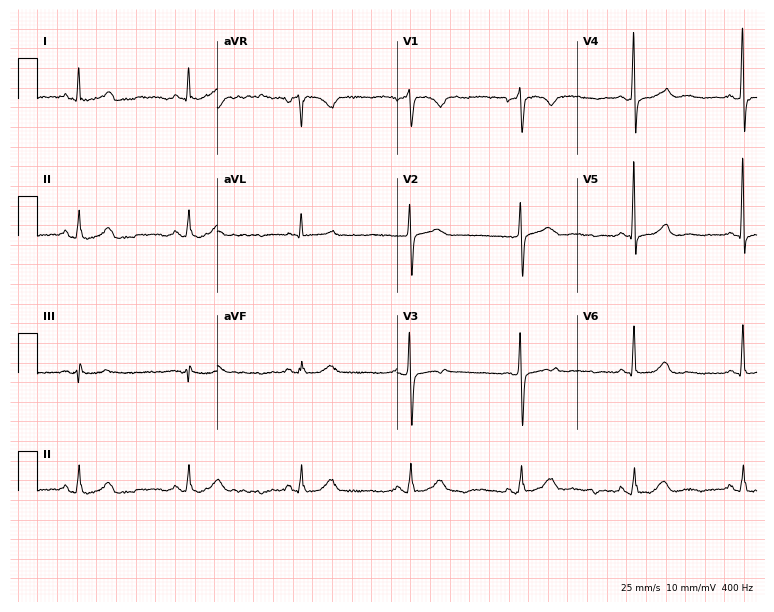
Resting 12-lead electrocardiogram. Patient: a woman, 57 years old. None of these six findings is recorded: first-degree AV block, right bundle branch block, left bundle branch block, sinus bradycardia, atrial fibrillation, sinus tachycardia.